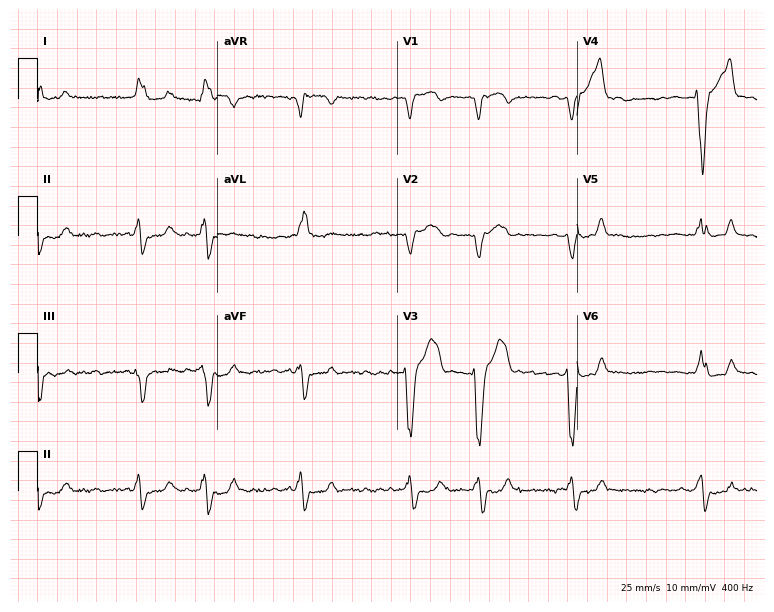
Standard 12-lead ECG recorded from a 61-year-old male patient. The tracing shows left bundle branch block, atrial fibrillation.